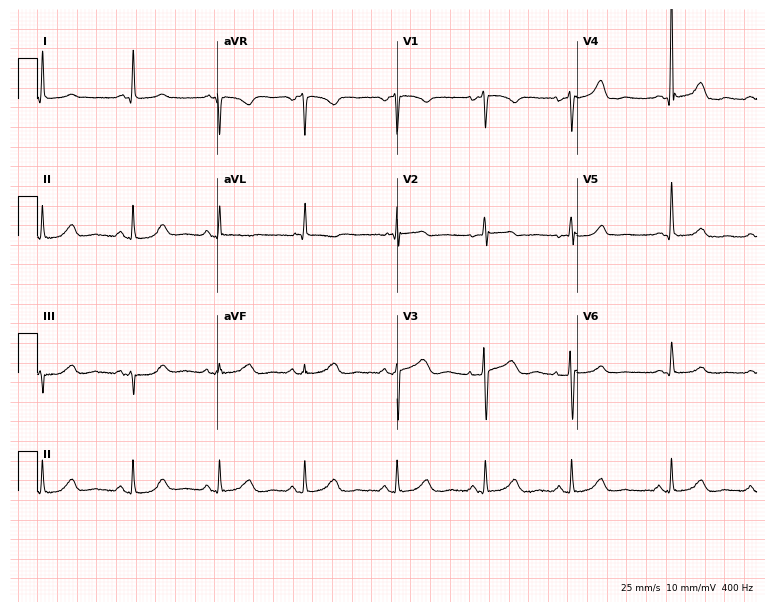
12-lead ECG (7.3-second recording at 400 Hz) from a female, 68 years old. Screened for six findings — first-degree AV block, right bundle branch block, left bundle branch block, sinus bradycardia, atrial fibrillation, sinus tachycardia — none is recorded.